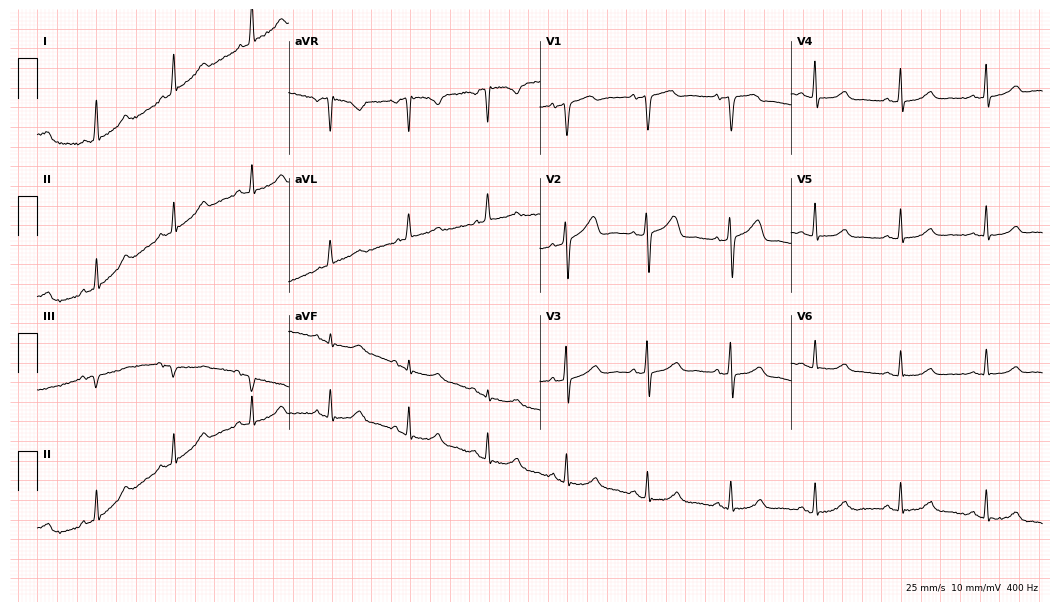
Electrocardiogram (10.2-second recording at 400 Hz), a 62-year-old female. Overall reading on record: normal ECG.